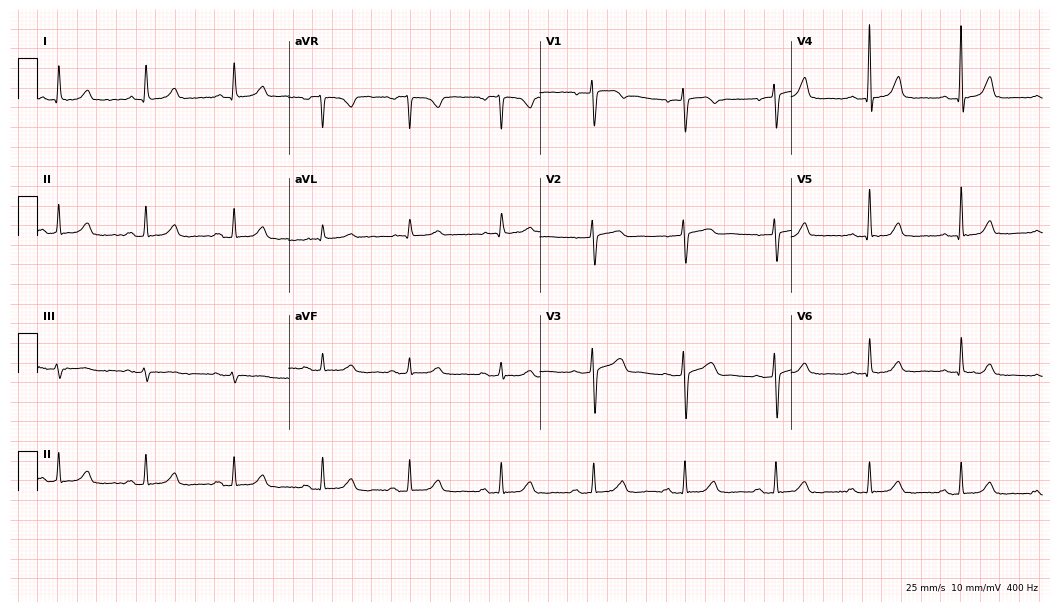
Electrocardiogram, a female patient, 57 years old. Of the six screened findings (first-degree AV block, right bundle branch block (RBBB), left bundle branch block (LBBB), sinus bradycardia, atrial fibrillation (AF), sinus tachycardia), none is recorded.